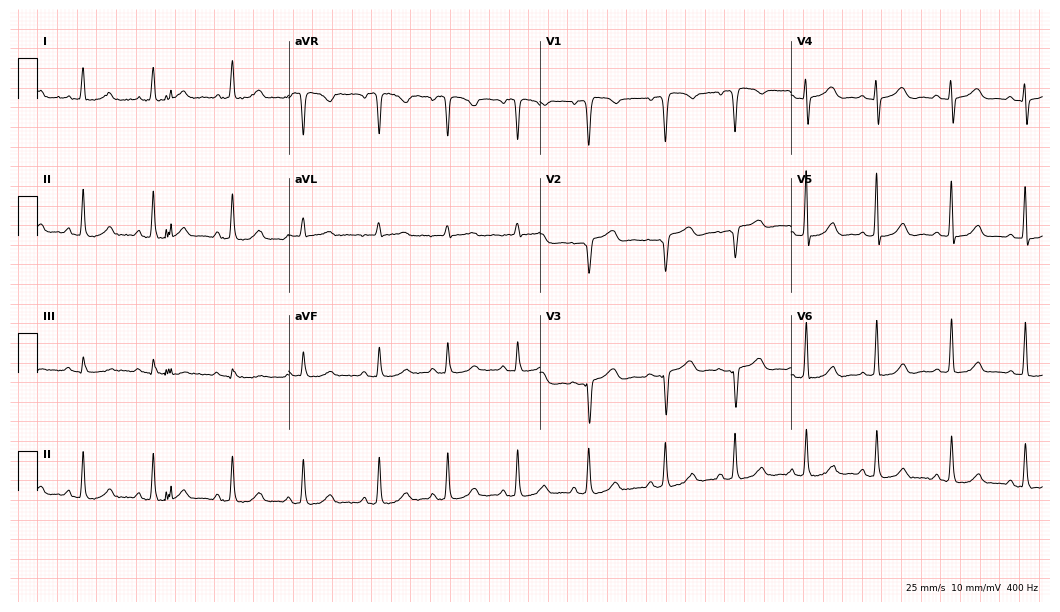
Electrocardiogram (10.2-second recording at 400 Hz), a female, 46 years old. Of the six screened findings (first-degree AV block, right bundle branch block, left bundle branch block, sinus bradycardia, atrial fibrillation, sinus tachycardia), none is recorded. Findings outside these six are not listed.